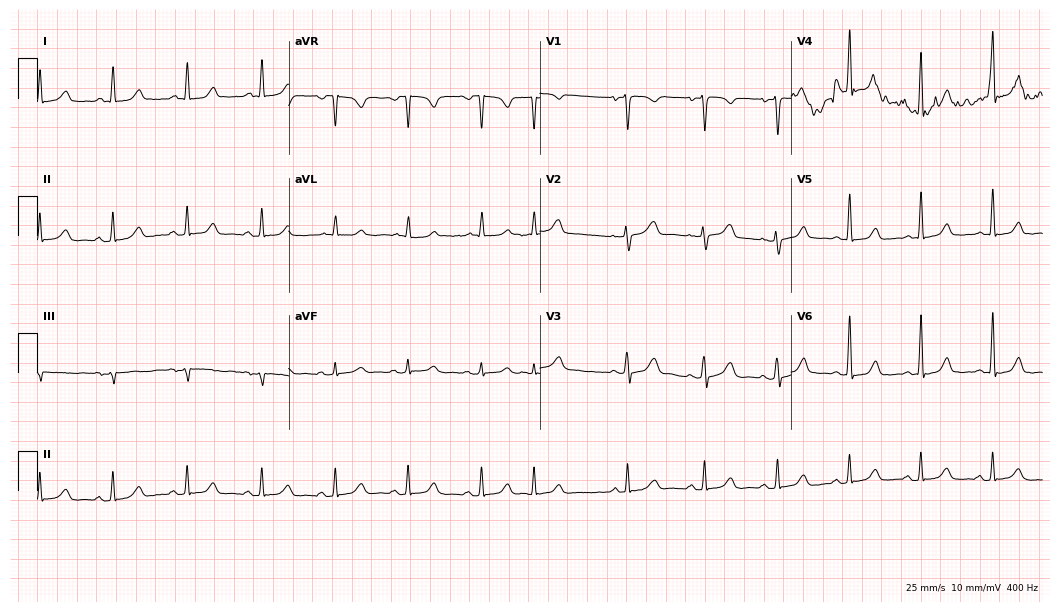
Resting 12-lead electrocardiogram (10.2-second recording at 400 Hz). Patient: a 46-year-old female. Read as a normal ECG.